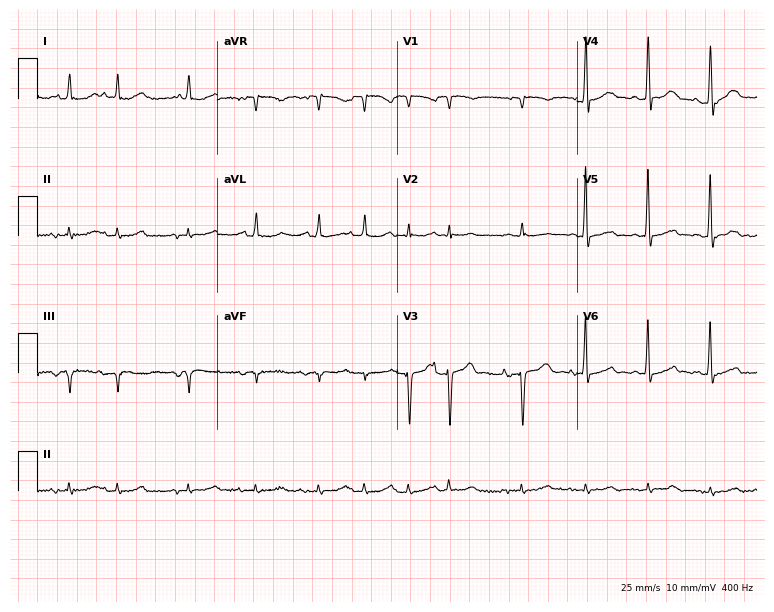
Standard 12-lead ECG recorded from an 82-year-old male patient. None of these six findings is recorded: first-degree AV block, right bundle branch block (RBBB), left bundle branch block (LBBB), sinus bradycardia, atrial fibrillation (AF), sinus tachycardia.